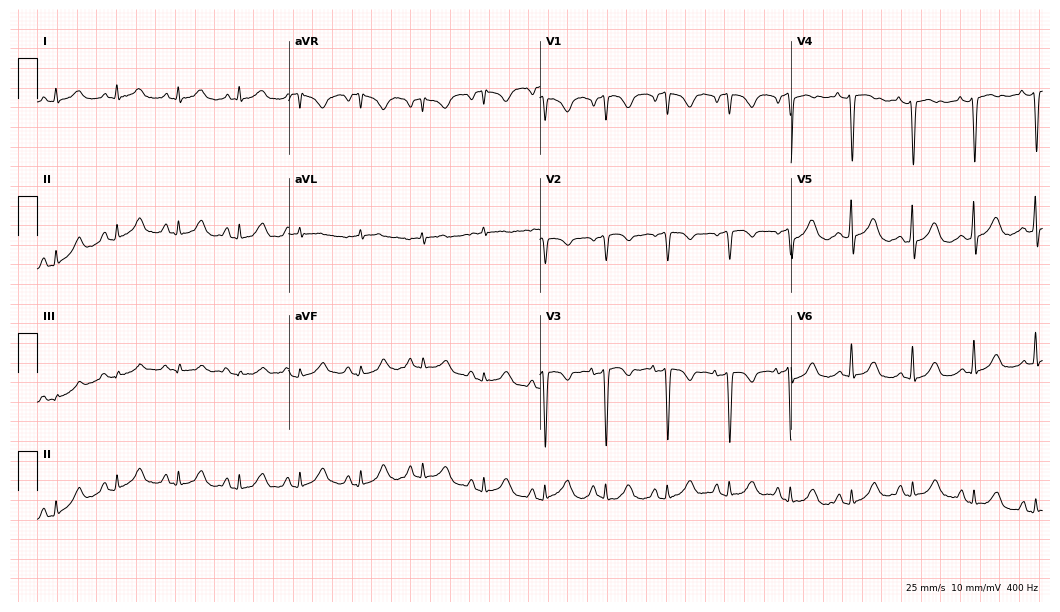
12-lead ECG from a 73-year-old female patient. Screened for six findings — first-degree AV block, right bundle branch block, left bundle branch block, sinus bradycardia, atrial fibrillation, sinus tachycardia — none is recorded. Other findings, if any, are not listed.